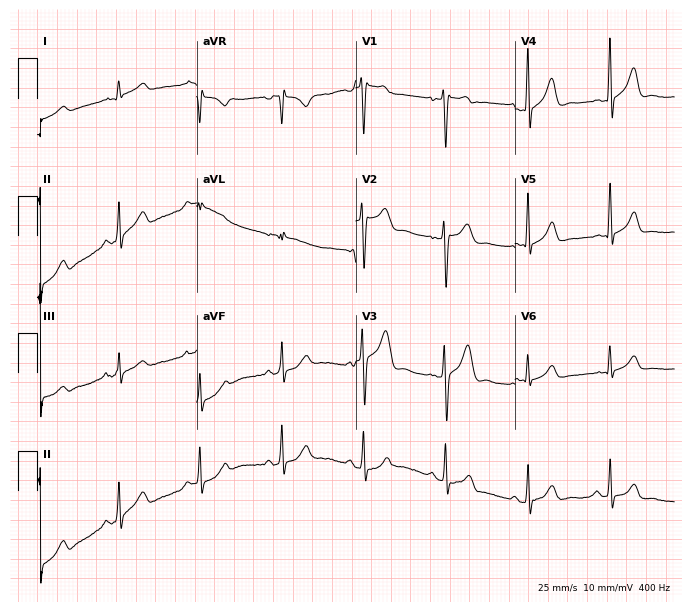
Resting 12-lead electrocardiogram (6.5-second recording at 400 Hz). Patient: a 23-year-old male. None of these six findings is recorded: first-degree AV block, right bundle branch block, left bundle branch block, sinus bradycardia, atrial fibrillation, sinus tachycardia. Findings outside these six are not listed.